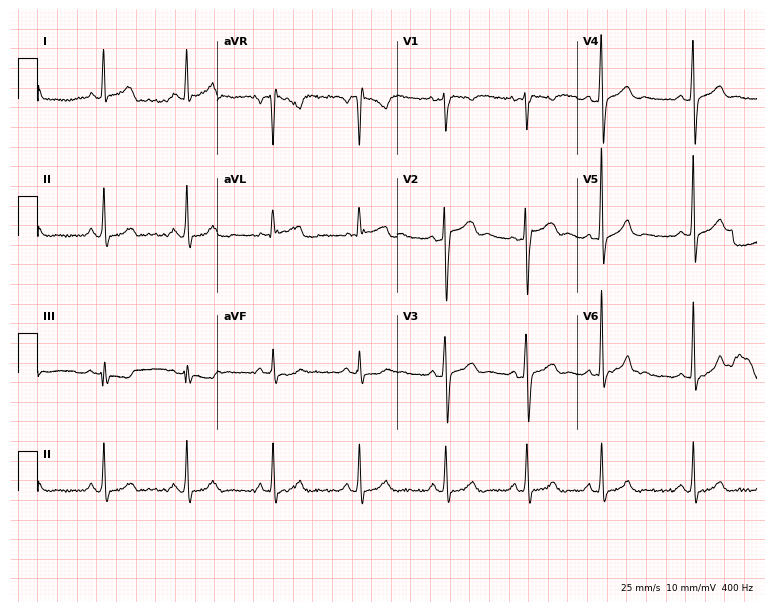
12-lead ECG from a male patient, 42 years old. Recorded interpretation: within normal limits.